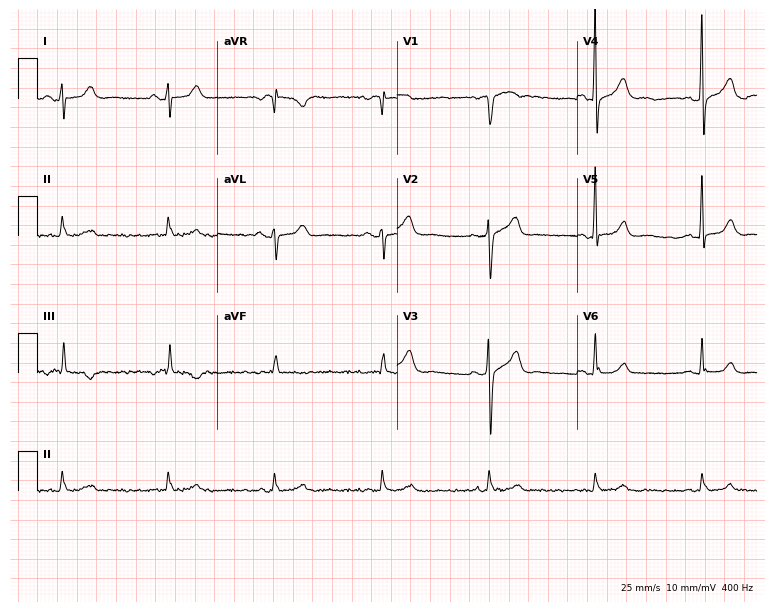
Electrocardiogram (7.3-second recording at 400 Hz), an 83-year-old man. Of the six screened findings (first-degree AV block, right bundle branch block, left bundle branch block, sinus bradycardia, atrial fibrillation, sinus tachycardia), none is recorded. Findings outside these six are not listed.